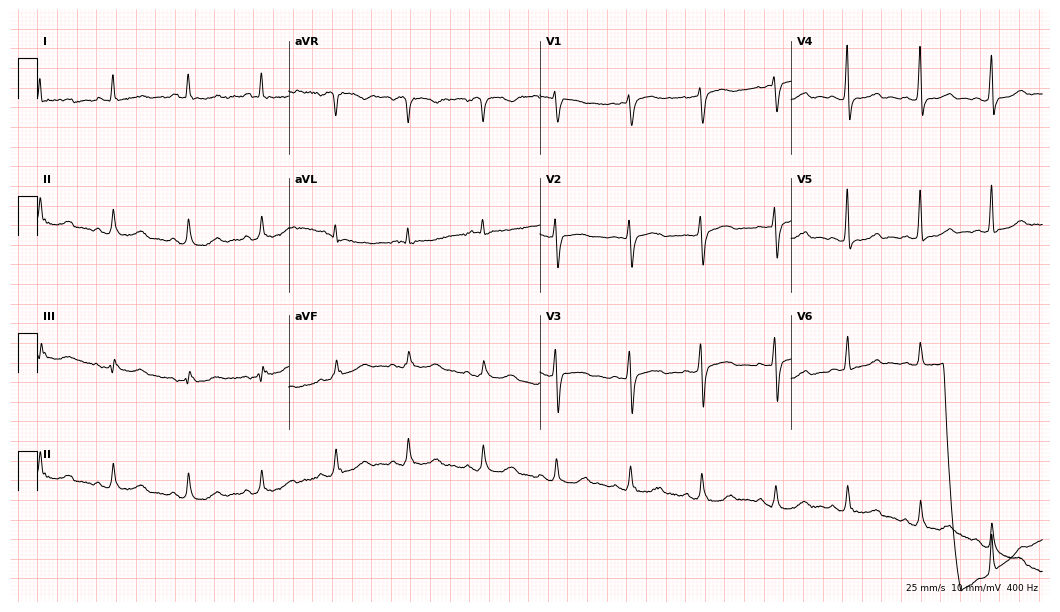
Standard 12-lead ECG recorded from a female, 63 years old. None of these six findings is recorded: first-degree AV block, right bundle branch block, left bundle branch block, sinus bradycardia, atrial fibrillation, sinus tachycardia.